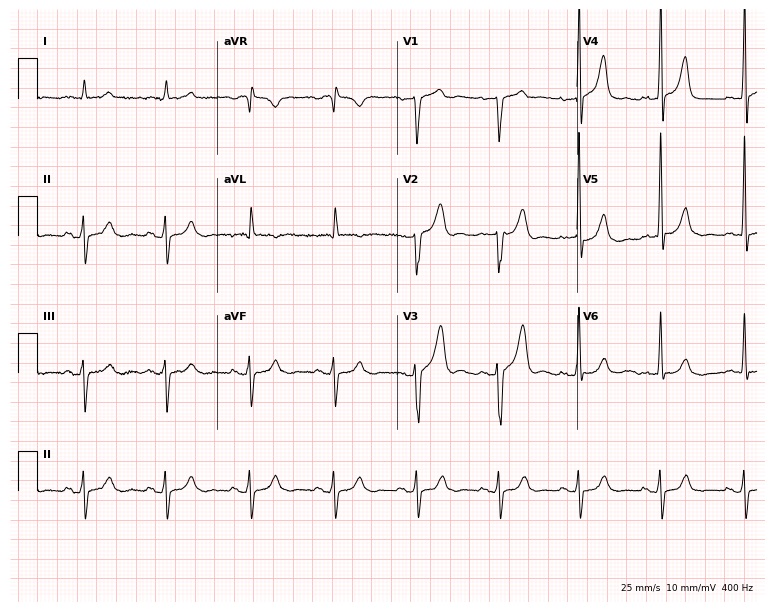
12-lead ECG from a 71-year-old male. Screened for six findings — first-degree AV block, right bundle branch block, left bundle branch block, sinus bradycardia, atrial fibrillation, sinus tachycardia — none is recorded.